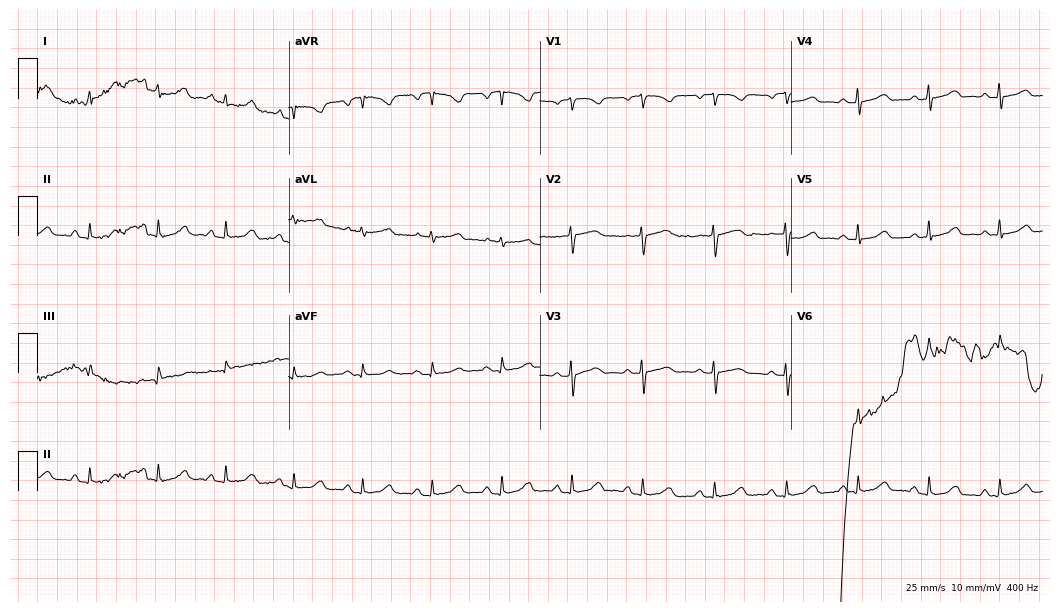
12-lead ECG (10.2-second recording at 400 Hz) from a woman, 70 years old. Screened for six findings — first-degree AV block, right bundle branch block, left bundle branch block, sinus bradycardia, atrial fibrillation, sinus tachycardia — none is recorded.